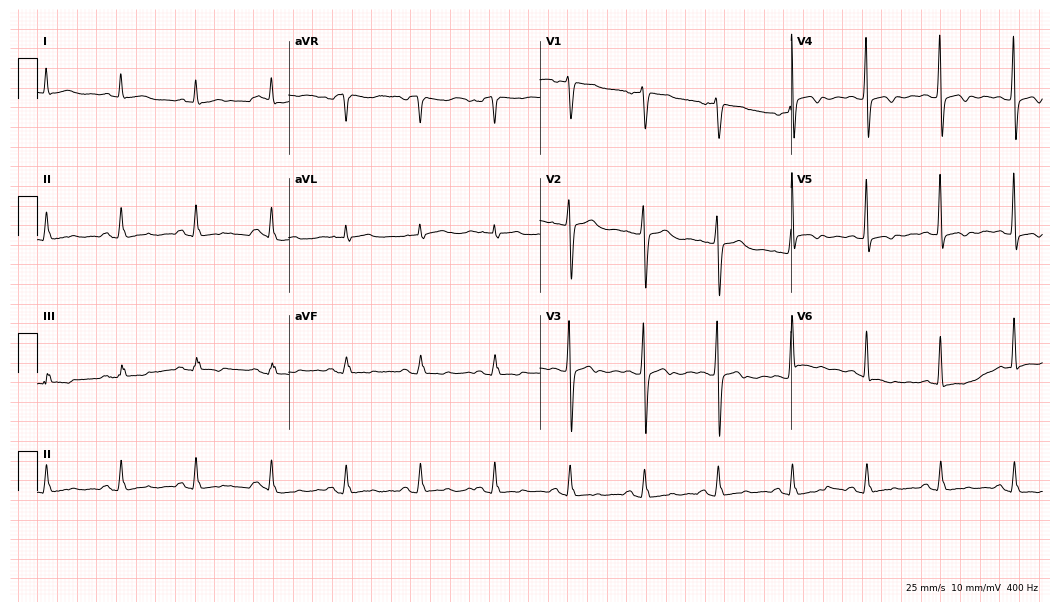
Resting 12-lead electrocardiogram. Patient: a 54-year-old female. None of these six findings is recorded: first-degree AV block, right bundle branch block, left bundle branch block, sinus bradycardia, atrial fibrillation, sinus tachycardia.